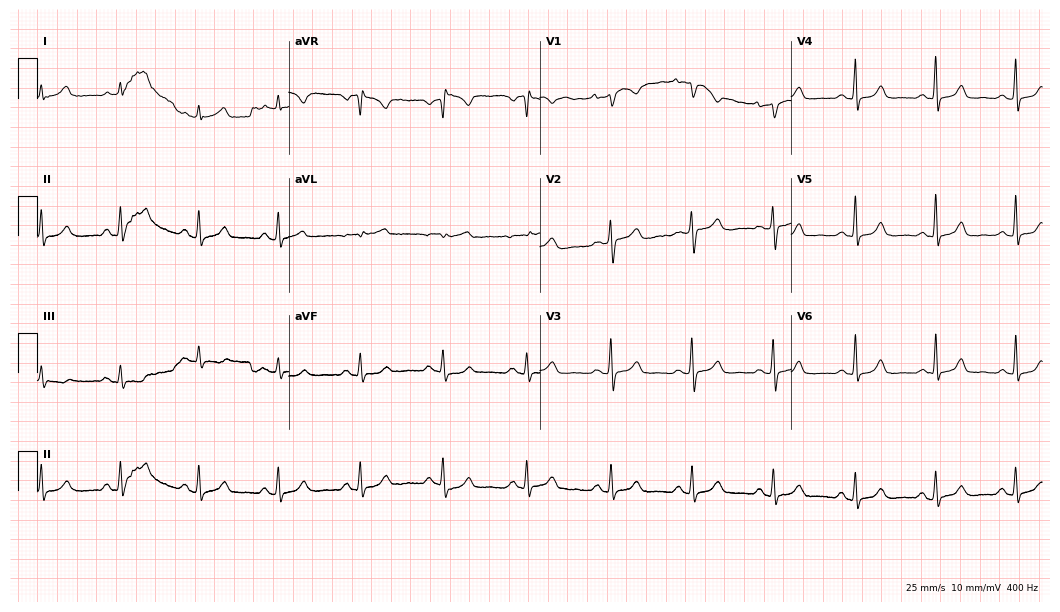
ECG — a 37-year-old woman. Labelled as a normal ECG.